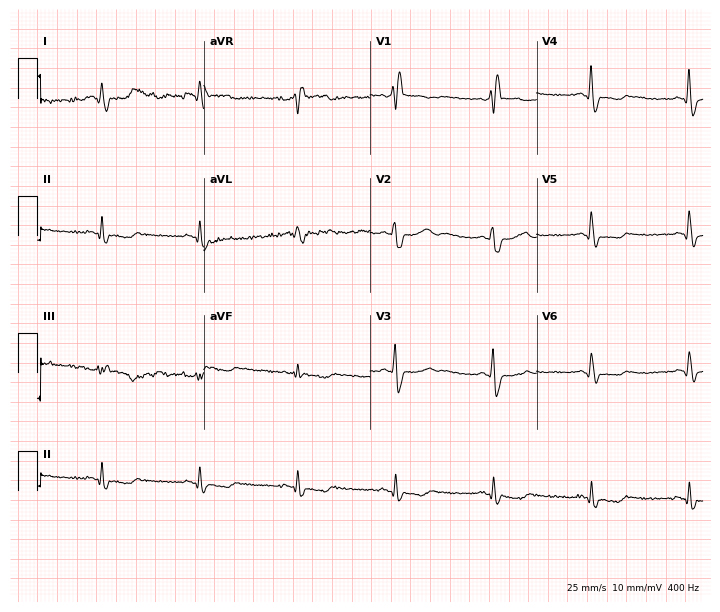
12-lead ECG (6.8-second recording at 400 Hz) from a male, 62 years old. Findings include right bundle branch block.